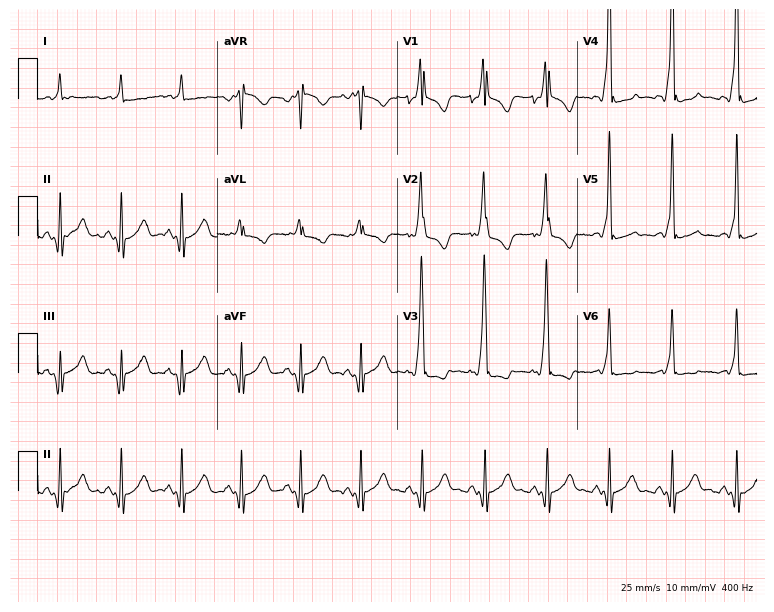
Standard 12-lead ECG recorded from a male, 36 years old. None of these six findings is recorded: first-degree AV block, right bundle branch block, left bundle branch block, sinus bradycardia, atrial fibrillation, sinus tachycardia.